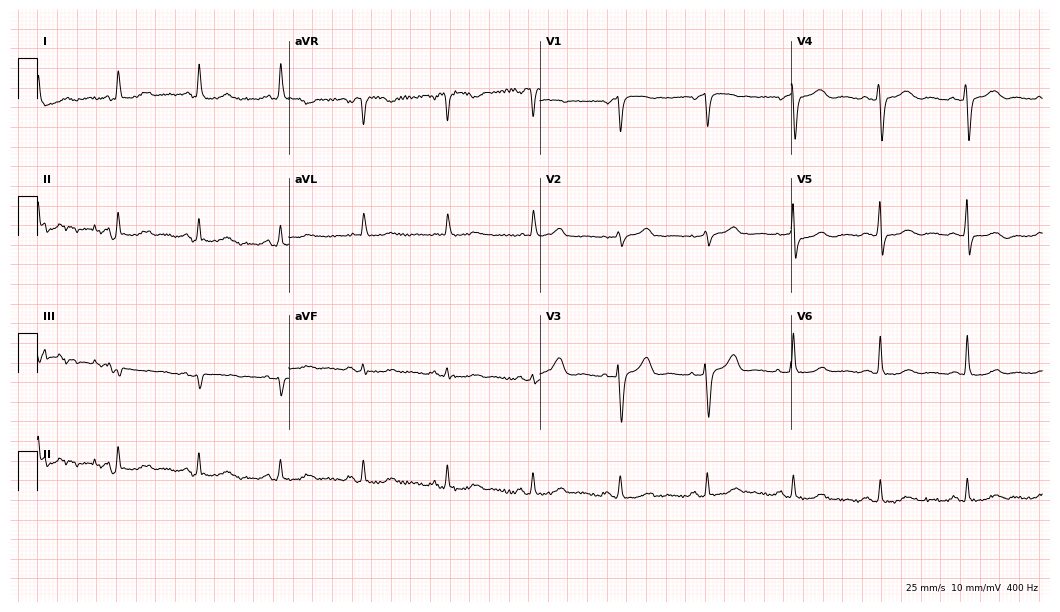
Electrocardiogram (10.2-second recording at 400 Hz), a 69-year-old female patient. Of the six screened findings (first-degree AV block, right bundle branch block (RBBB), left bundle branch block (LBBB), sinus bradycardia, atrial fibrillation (AF), sinus tachycardia), none is recorded. Findings outside these six are not listed.